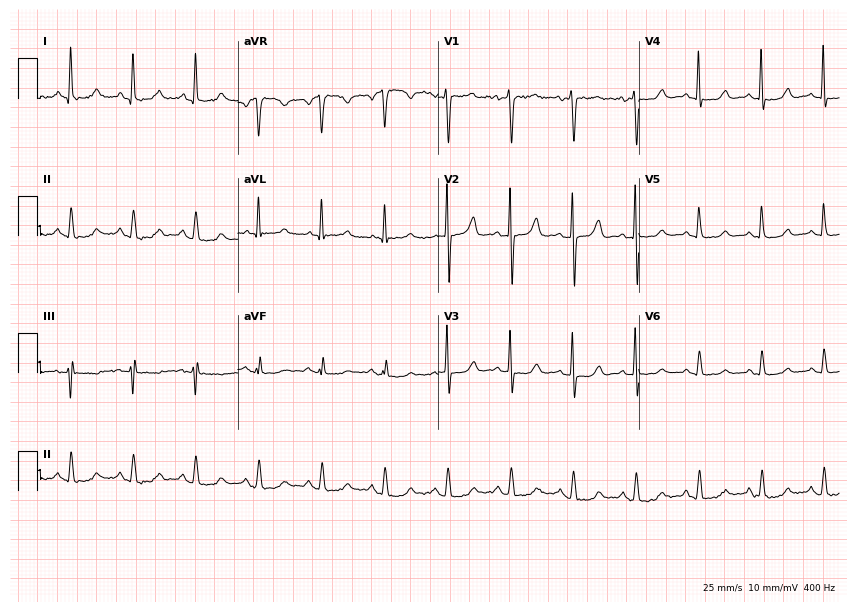
Resting 12-lead electrocardiogram. Patient: a female, 77 years old. Read as a normal ECG.